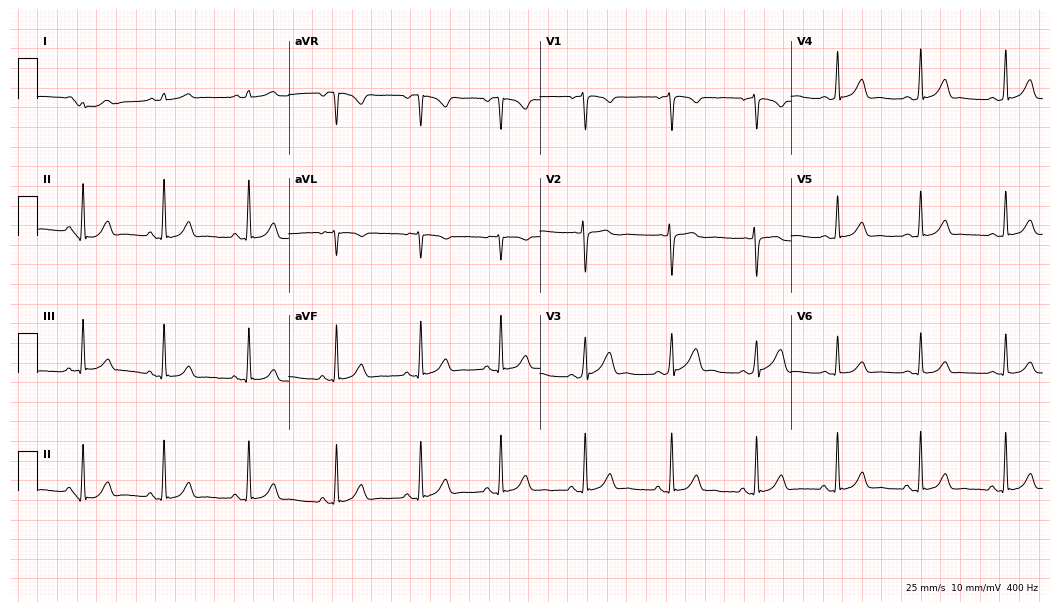
Resting 12-lead electrocardiogram. Patient: a female, 21 years old. None of these six findings is recorded: first-degree AV block, right bundle branch block, left bundle branch block, sinus bradycardia, atrial fibrillation, sinus tachycardia.